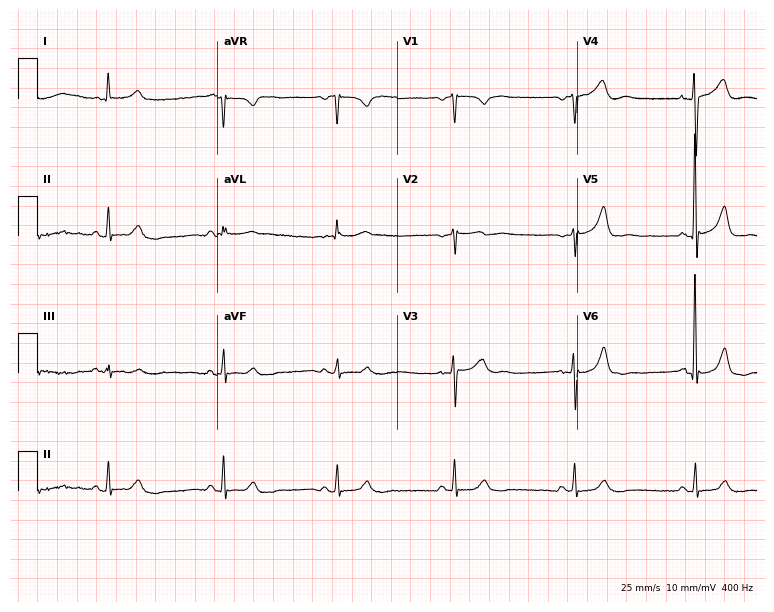
Standard 12-lead ECG recorded from an 81-year-old man (7.3-second recording at 400 Hz). The tracing shows sinus bradycardia (a sinus rate of 50 beats per minute or less).